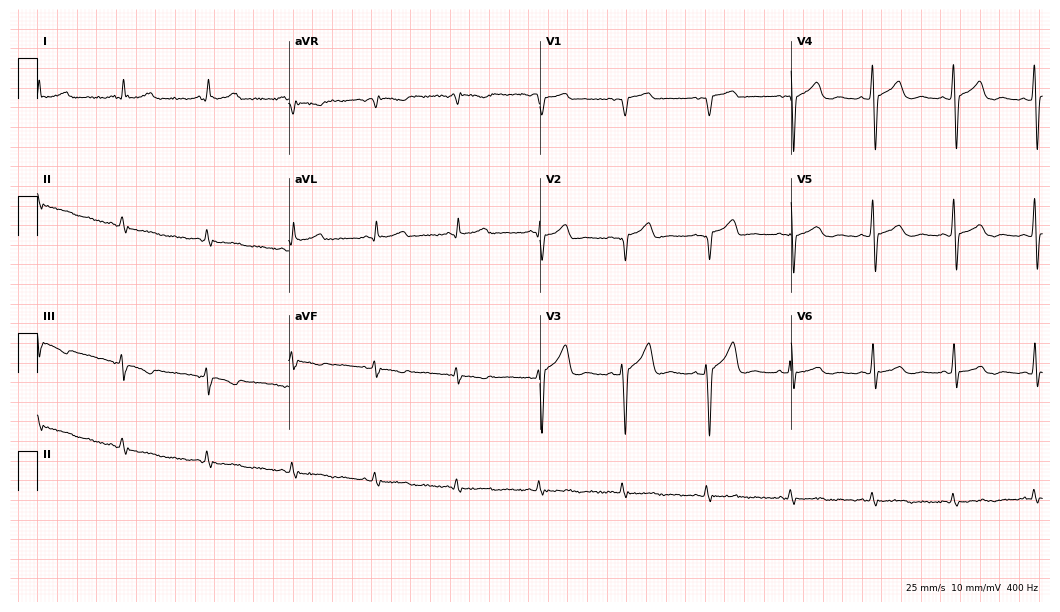
12-lead ECG from a 36-year-old male. No first-degree AV block, right bundle branch block (RBBB), left bundle branch block (LBBB), sinus bradycardia, atrial fibrillation (AF) or sinus tachycardia recorded for this tracing. Findings outside these six are not listed.